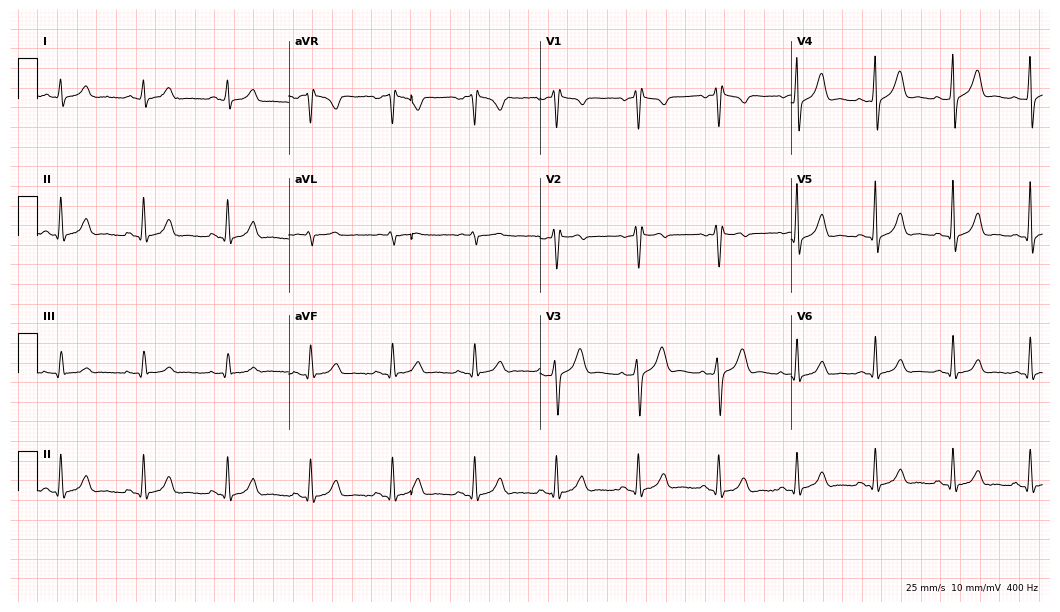
12-lead ECG from a 36-year-old man. Screened for six findings — first-degree AV block, right bundle branch block, left bundle branch block, sinus bradycardia, atrial fibrillation, sinus tachycardia — none is recorded. Other findings, if any, are not listed.